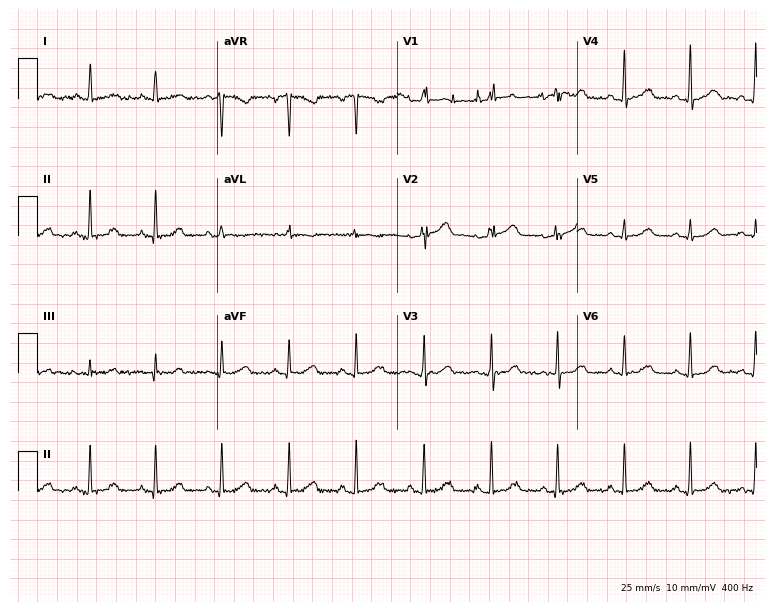
ECG (7.3-second recording at 400 Hz) — a woman, 58 years old. Labelled as a normal ECG.